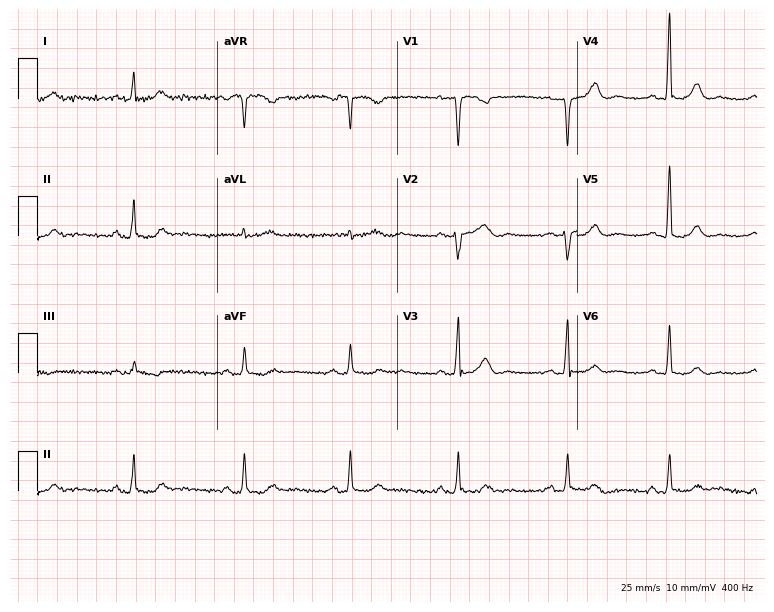
Standard 12-lead ECG recorded from a female patient, 63 years old (7.3-second recording at 400 Hz). None of these six findings is recorded: first-degree AV block, right bundle branch block (RBBB), left bundle branch block (LBBB), sinus bradycardia, atrial fibrillation (AF), sinus tachycardia.